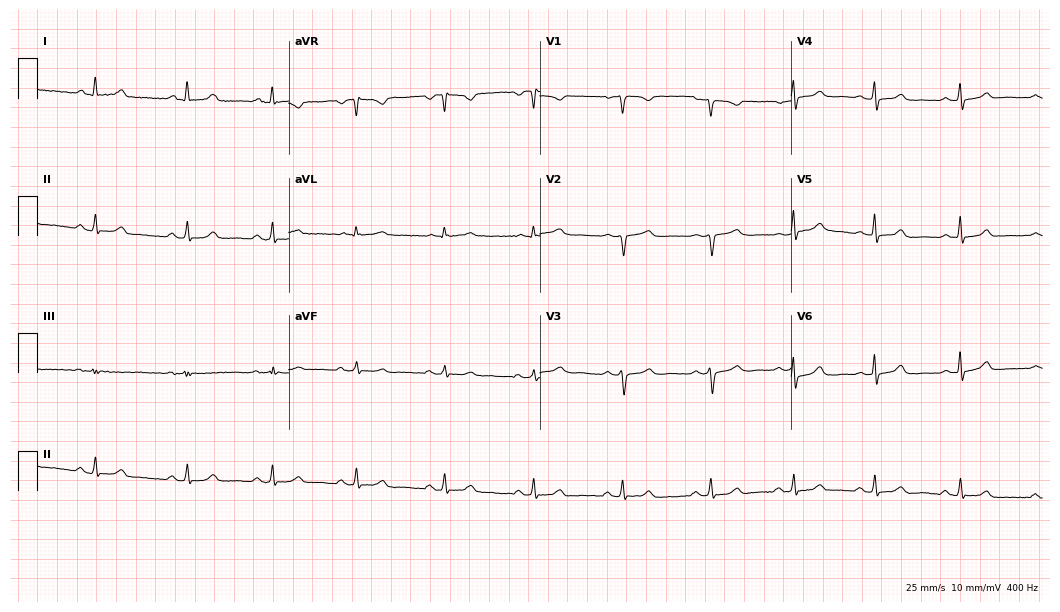
Resting 12-lead electrocardiogram. Patient: a 39-year-old woman. None of these six findings is recorded: first-degree AV block, right bundle branch block (RBBB), left bundle branch block (LBBB), sinus bradycardia, atrial fibrillation (AF), sinus tachycardia. Only these six findings were labelled.